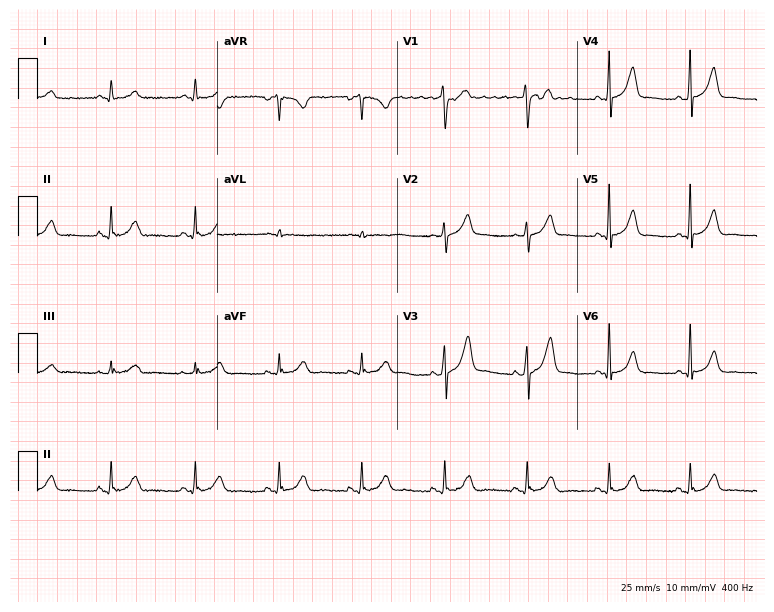
Electrocardiogram (7.3-second recording at 400 Hz), a male, 51 years old. Overall reading on record: normal ECG.